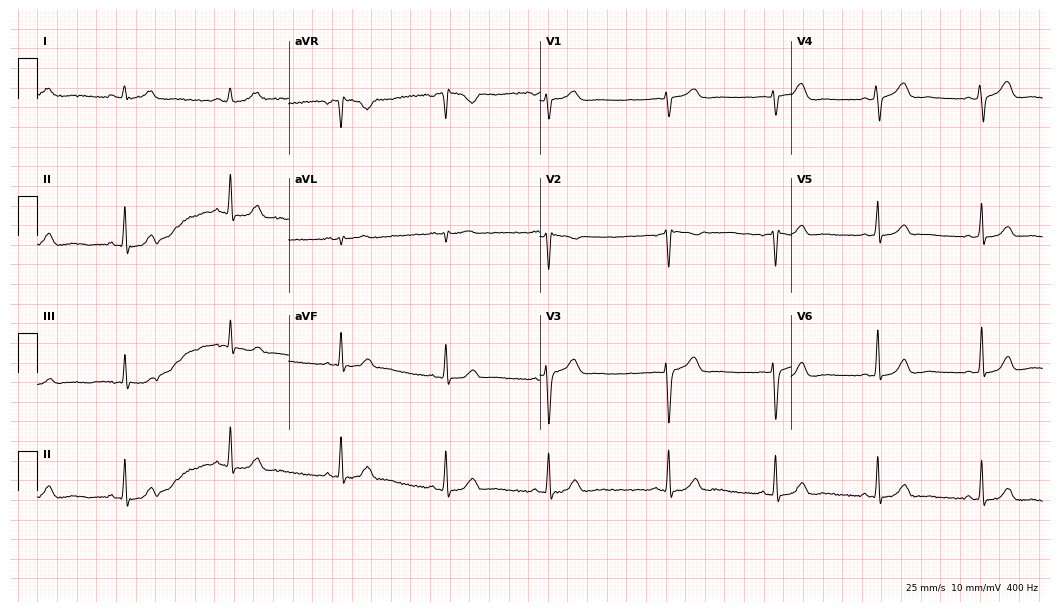
12-lead ECG (10.2-second recording at 400 Hz) from a 39-year-old woman. Screened for six findings — first-degree AV block, right bundle branch block, left bundle branch block, sinus bradycardia, atrial fibrillation, sinus tachycardia — none is recorded.